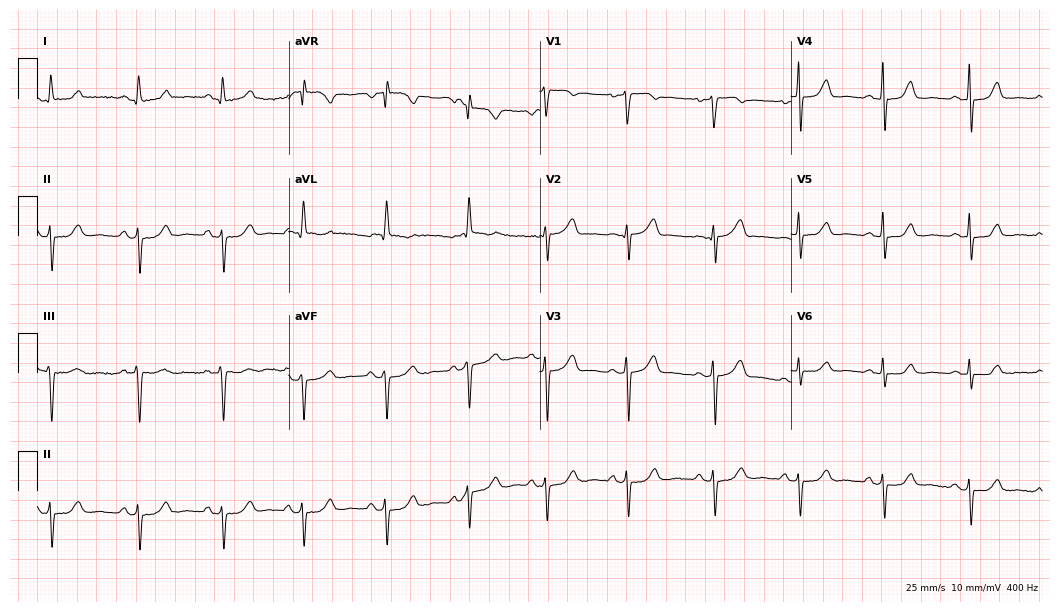
Standard 12-lead ECG recorded from a 54-year-old female. Read as a normal ECG.